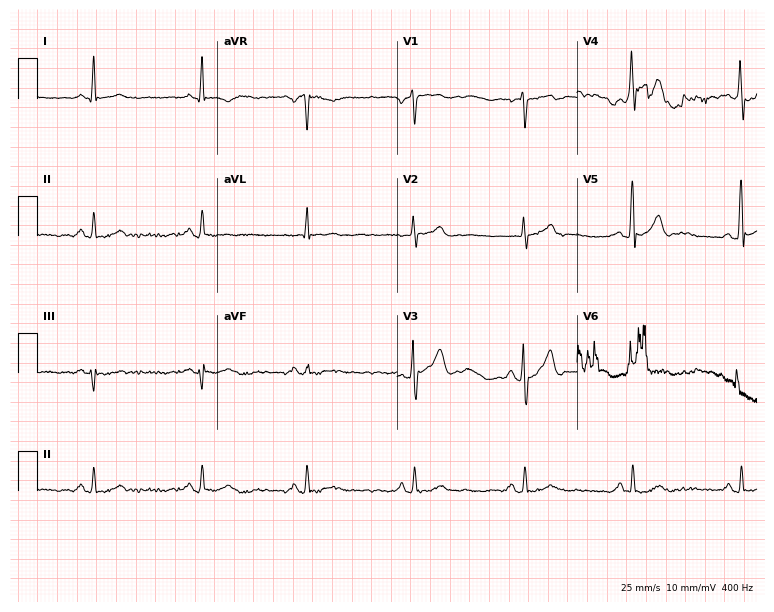
Resting 12-lead electrocardiogram. Patient: a male, 70 years old. Read as a normal ECG.